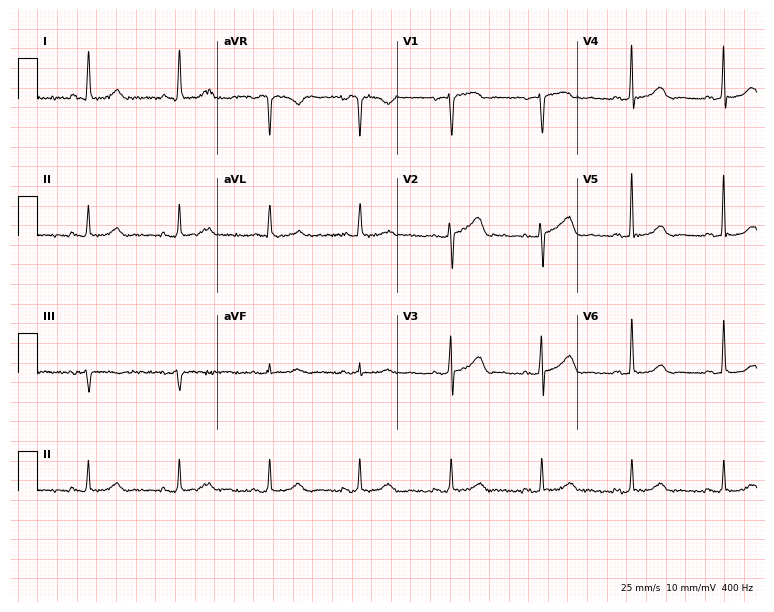
ECG (7.3-second recording at 400 Hz) — a female, 80 years old. Labelled as a normal ECG.